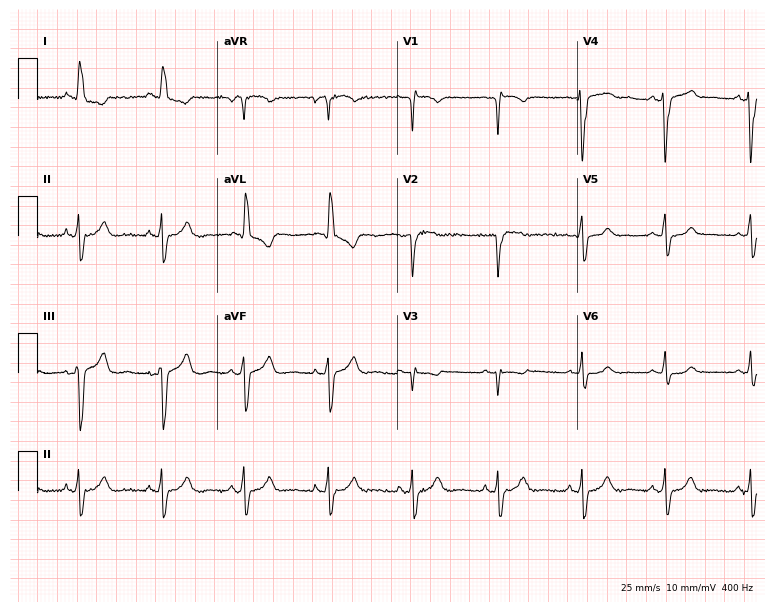
12-lead ECG from a female, 36 years old (7.3-second recording at 400 Hz). No first-degree AV block, right bundle branch block (RBBB), left bundle branch block (LBBB), sinus bradycardia, atrial fibrillation (AF) or sinus tachycardia recorded for this tracing.